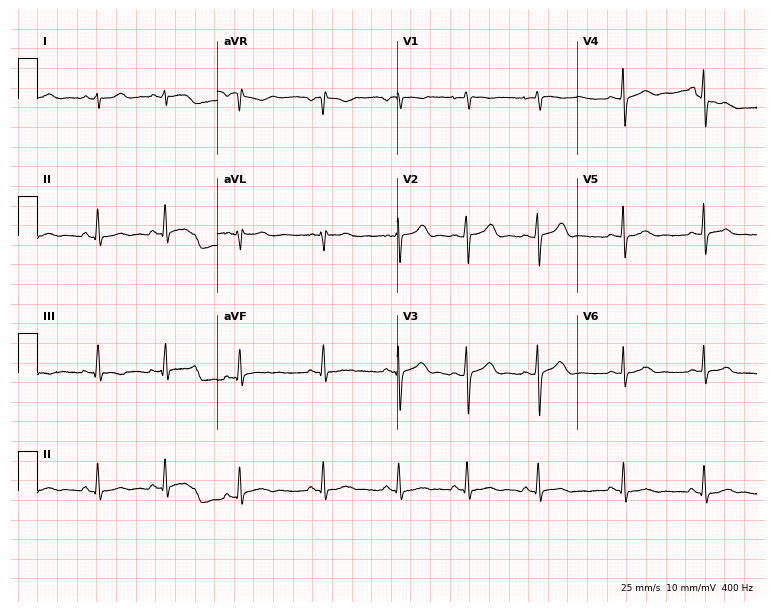
Electrocardiogram, a 22-year-old female patient. Of the six screened findings (first-degree AV block, right bundle branch block (RBBB), left bundle branch block (LBBB), sinus bradycardia, atrial fibrillation (AF), sinus tachycardia), none is recorded. Other findings, if any, are not listed.